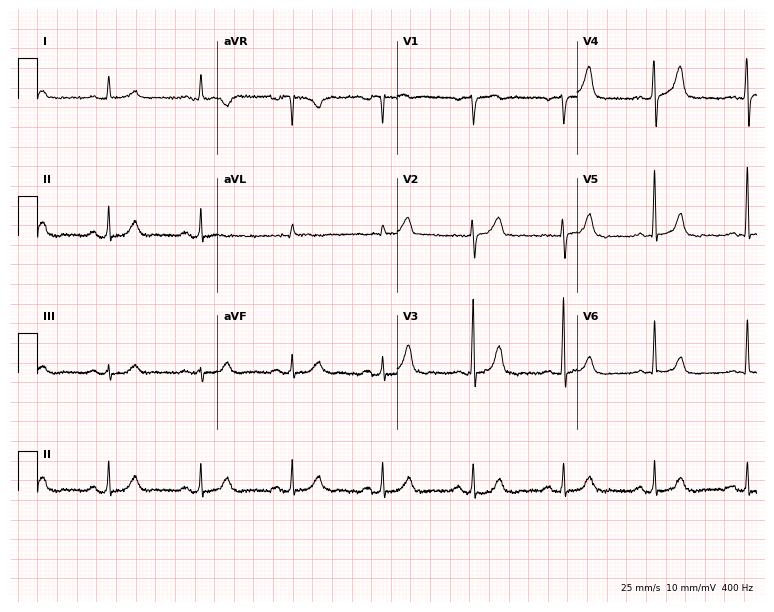
12-lead ECG from a 65-year-old male patient. No first-degree AV block, right bundle branch block (RBBB), left bundle branch block (LBBB), sinus bradycardia, atrial fibrillation (AF) or sinus tachycardia recorded for this tracing.